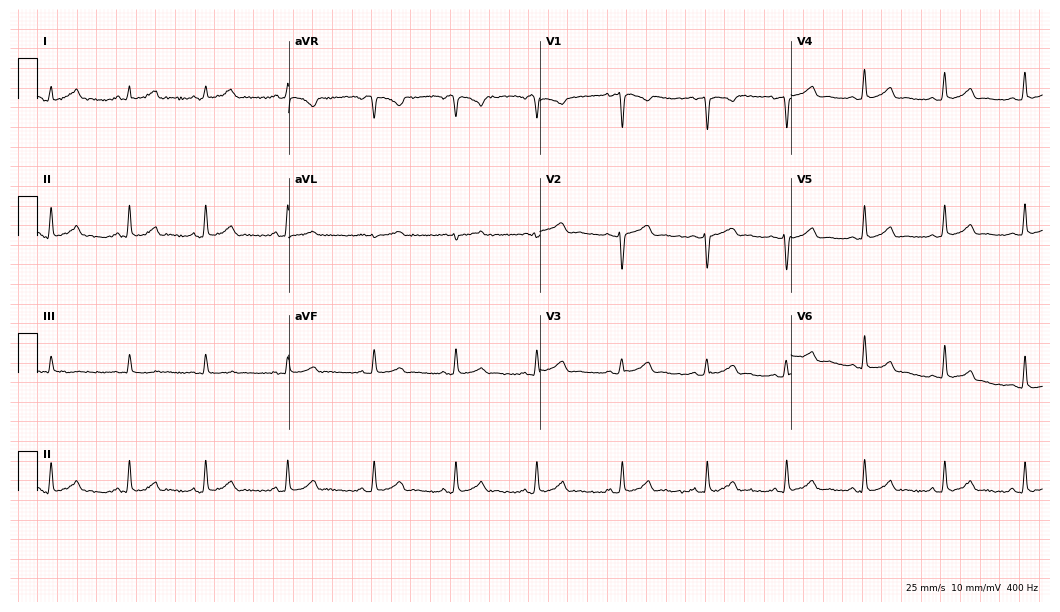
12-lead ECG from a female patient, 20 years old. Recorded interpretation: within normal limits.